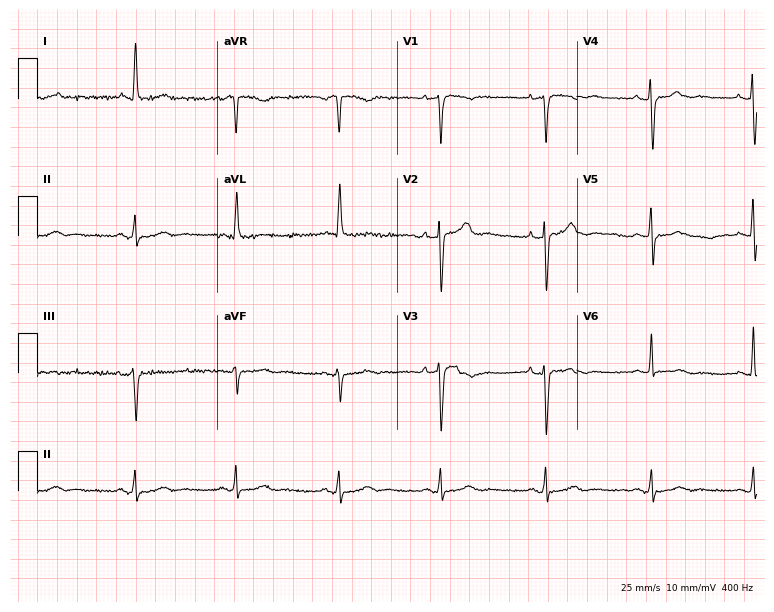
ECG (7.3-second recording at 400 Hz) — a female patient, 65 years old. Screened for six findings — first-degree AV block, right bundle branch block, left bundle branch block, sinus bradycardia, atrial fibrillation, sinus tachycardia — none is recorded. Only these six findings were labelled.